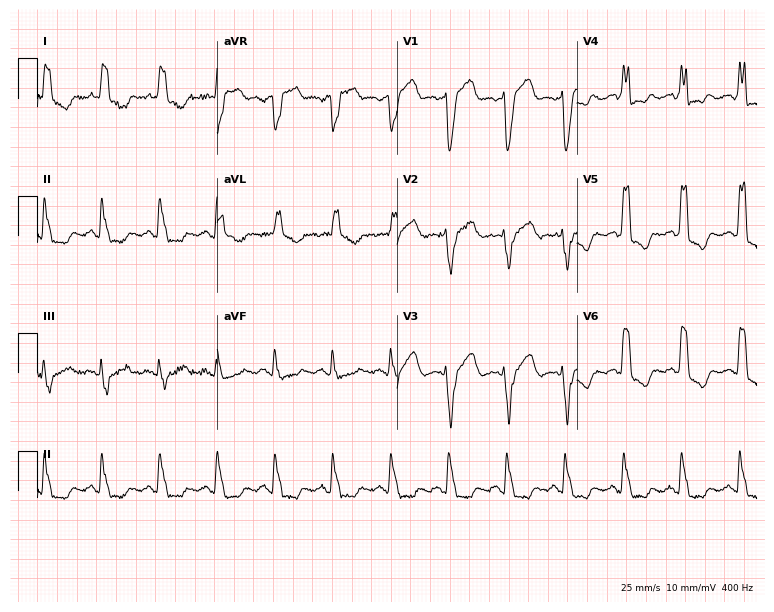
Electrocardiogram, a 65-year-old man. Interpretation includes left bundle branch block, sinus tachycardia (a sinus rate of 100 beats per minute or more).